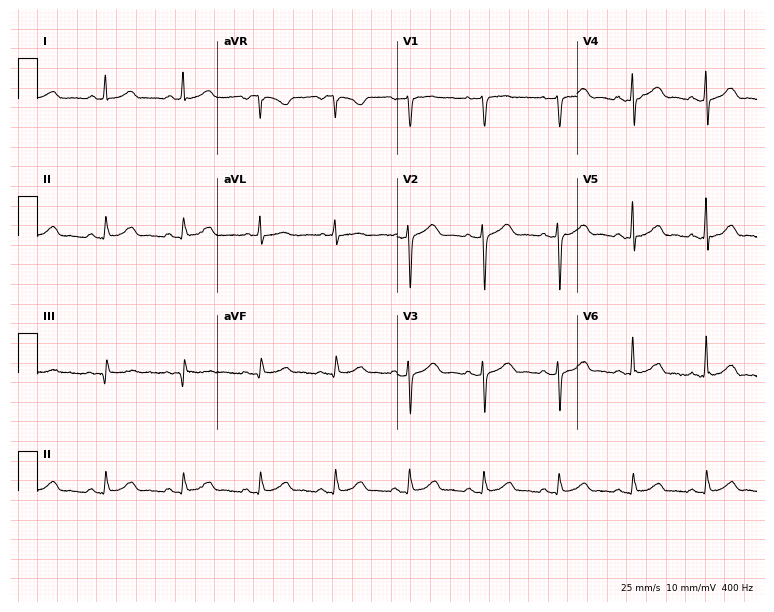
12-lead ECG (7.3-second recording at 400 Hz) from a male, 61 years old. Labelled as a normal ECG.